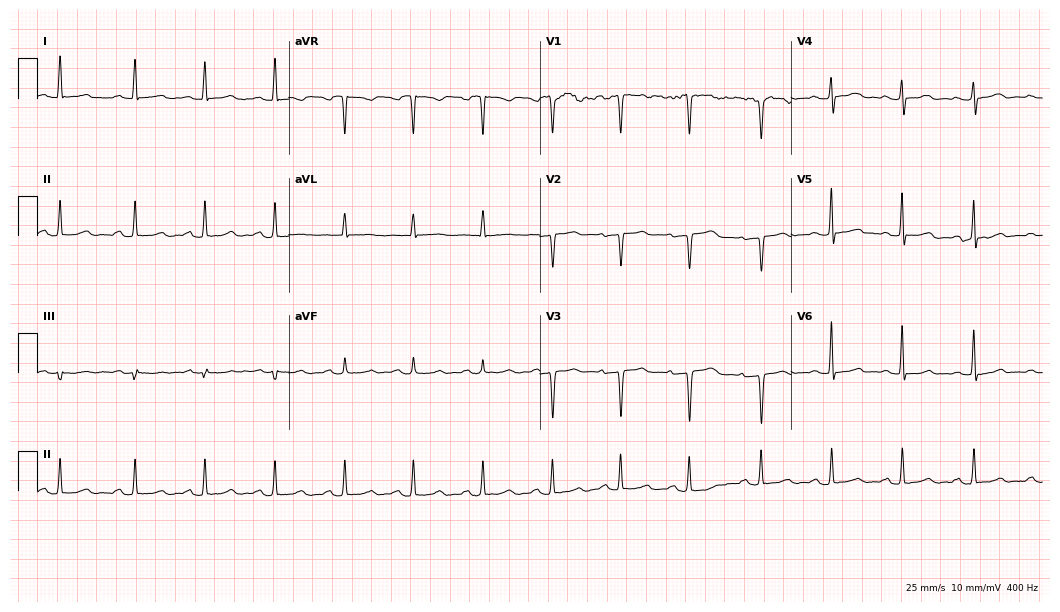
Standard 12-lead ECG recorded from a woman, 44 years old (10.2-second recording at 400 Hz). Read as a normal ECG.